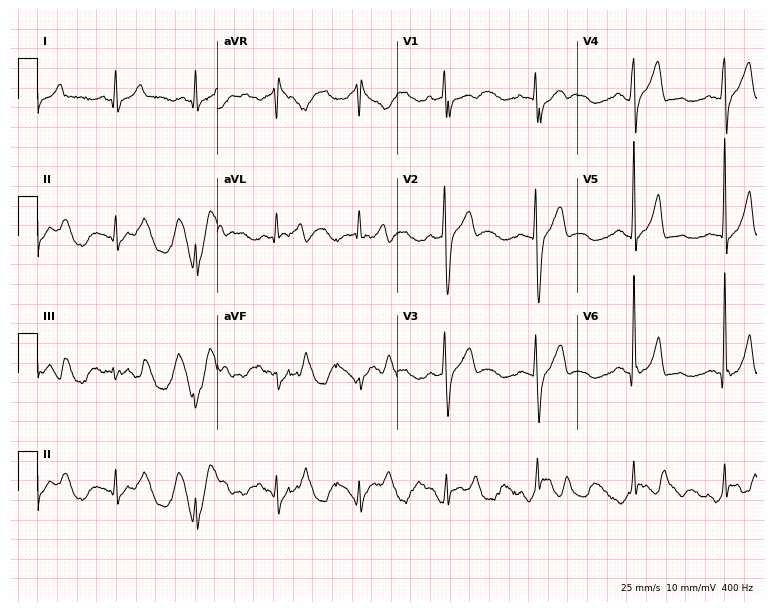
Resting 12-lead electrocardiogram. Patient: a 38-year-old male. None of these six findings is recorded: first-degree AV block, right bundle branch block, left bundle branch block, sinus bradycardia, atrial fibrillation, sinus tachycardia.